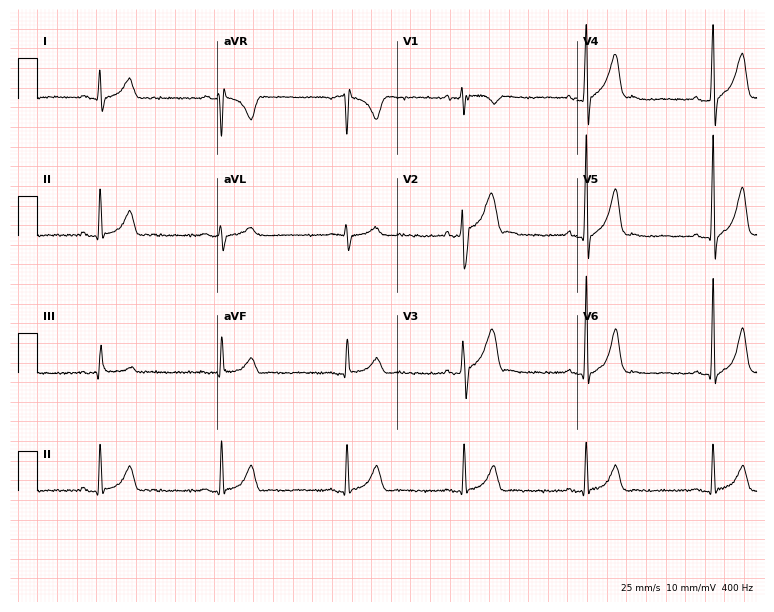
Resting 12-lead electrocardiogram (7.3-second recording at 400 Hz). Patient: a 32-year-old male. The tracing shows sinus bradycardia (a sinus rate of 50 beats per minute or less).